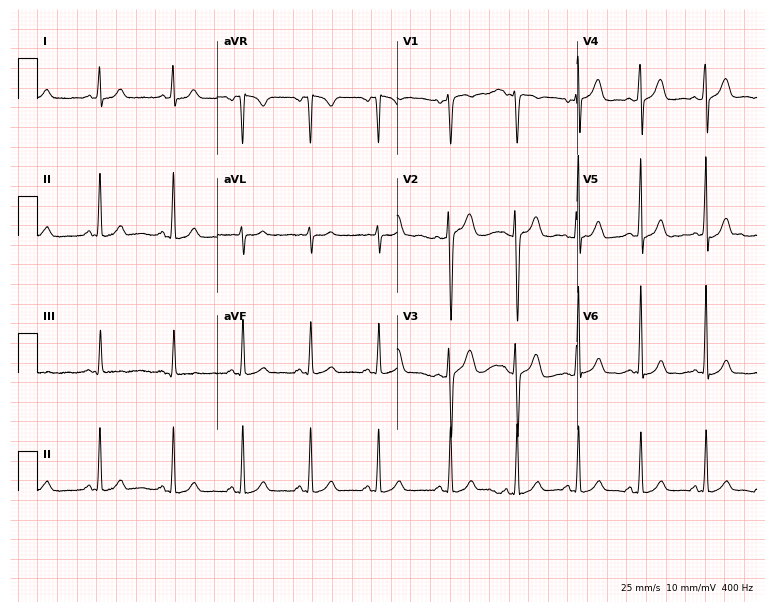
Standard 12-lead ECG recorded from a female patient, 27 years old (7.3-second recording at 400 Hz). None of these six findings is recorded: first-degree AV block, right bundle branch block (RBBB), left bundle branch block (LBBB), sinus bradycardia, atrial fibrillation (AF), sinus tachycardia. Other findings, if any, are not listed.